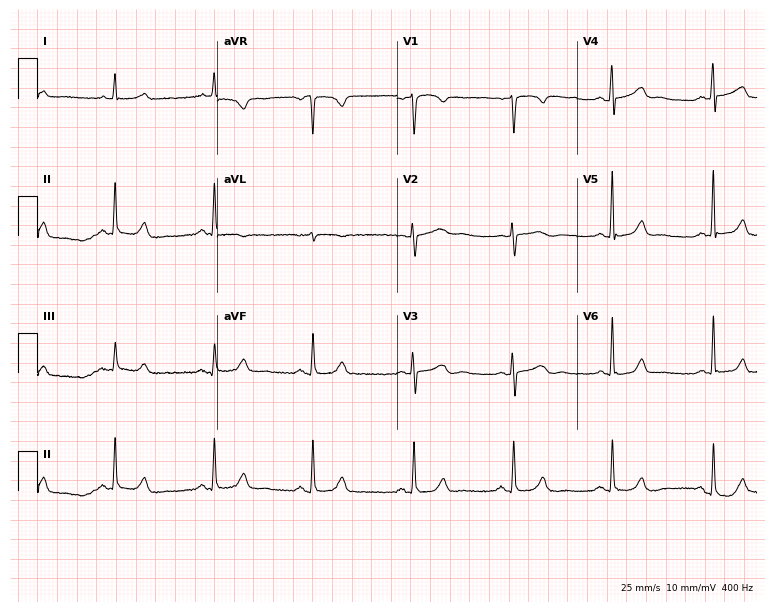
Resting 12-lead electrocardiogram (7.3-second recording at 400 Hz). Patient: a female, 67 years old. Read as a normal ECG.